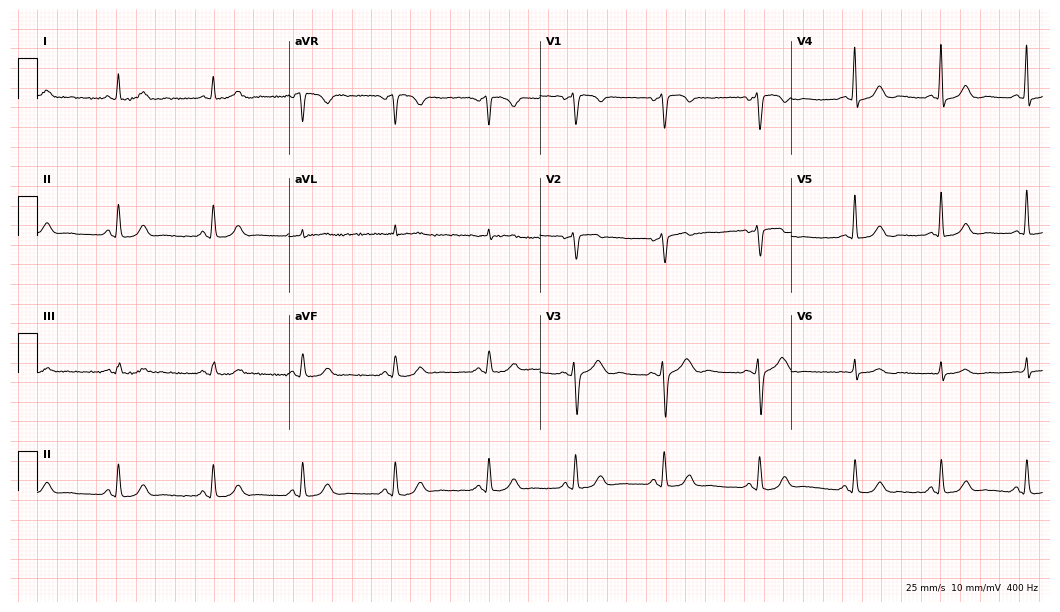
12-lead ECG from a female, 44 years old (10.2-second recording at 400 Hz). Recorded interpretation: within normal limits.